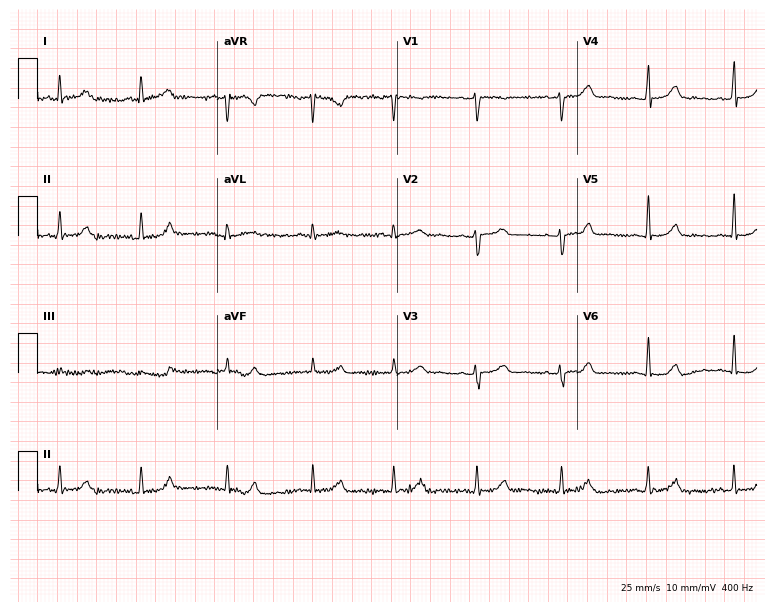
Resting 12-lead electrocardiogram (7.3-second recording at 400 Hz). Patient: a 40-year-old woman. None of these six findings is recorded: first-degree AV block, right bundle branch block, left bundle branch block, sinus bradycardia, atrial fibrillation, sinus tachycardia.